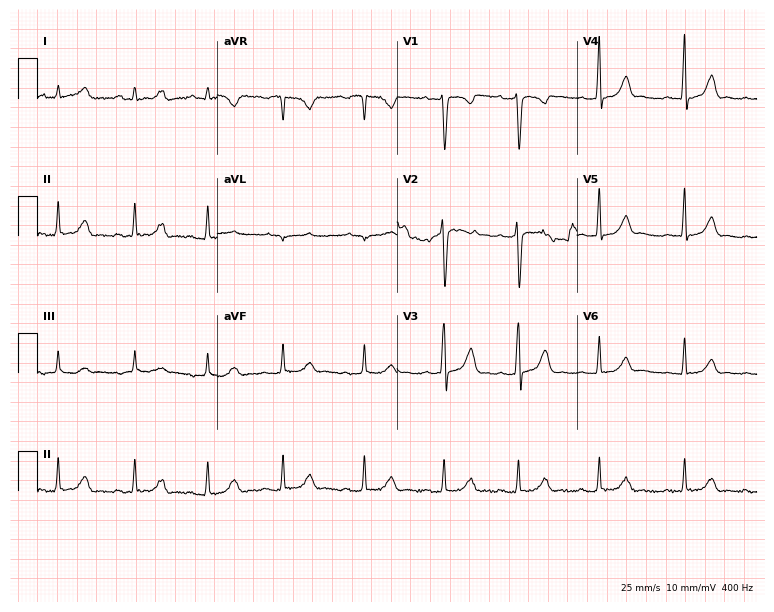
Resting 12-lead electrocardiogram. Patient: a 23-year-old woman. Read as a normal ECG.